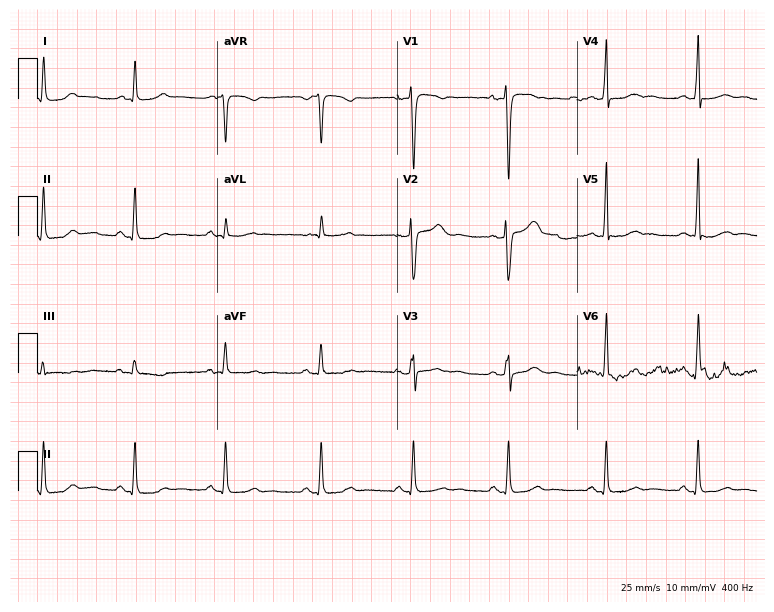
Resting 12-lead electrocardiogram. Patient: a 45-year-old female. None of these six findings is recorded: first-degree AV block, right bundle branch block, left bundle branch block, sinus bradycardia, atrial fibrillation, sinus tachycardia. Findings outside these six are not listed.